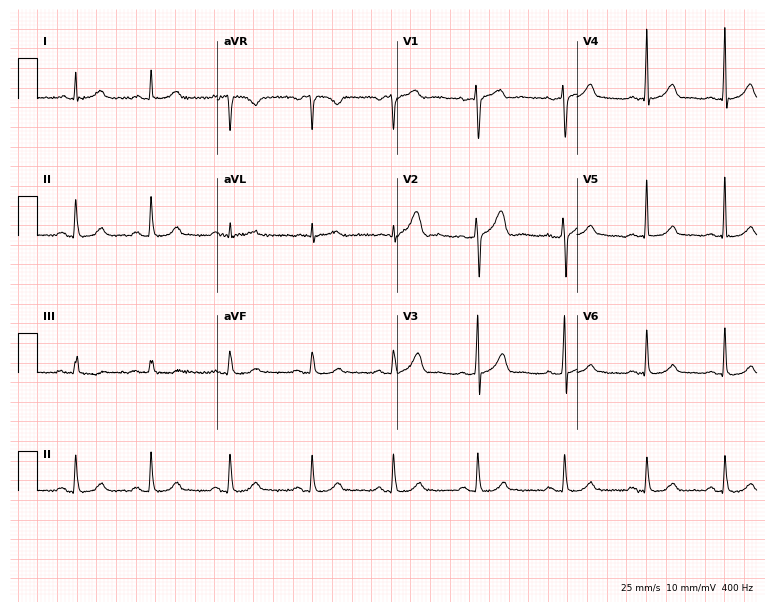
Standard 12-lead ECG recorded from a 40-year-old man. Read as a normal ECG.